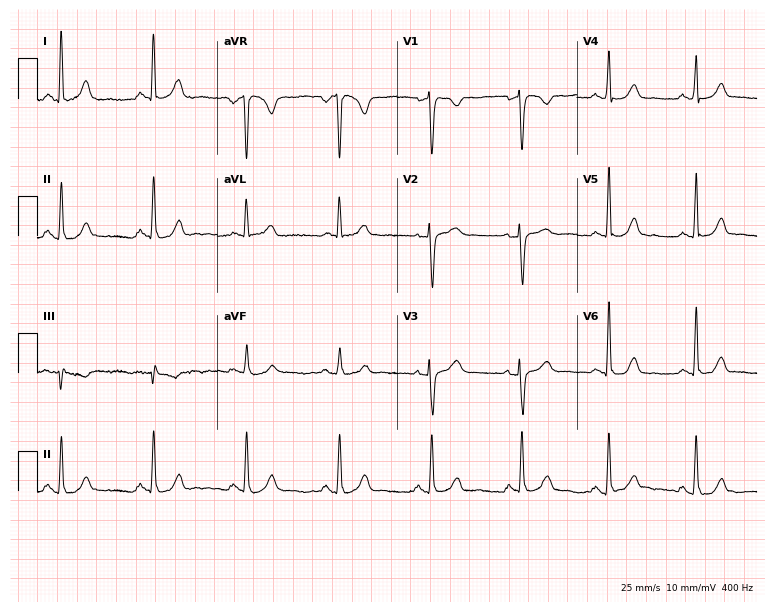
ECG — a female patient, 57 years old. Screened for six findings — first-degree AV block, right bundle branch block, left bundle branch block, sinus bradycardia, atrial fibrillation, sinus tachycardia — none is recorded. Findings outside these six are not listed.